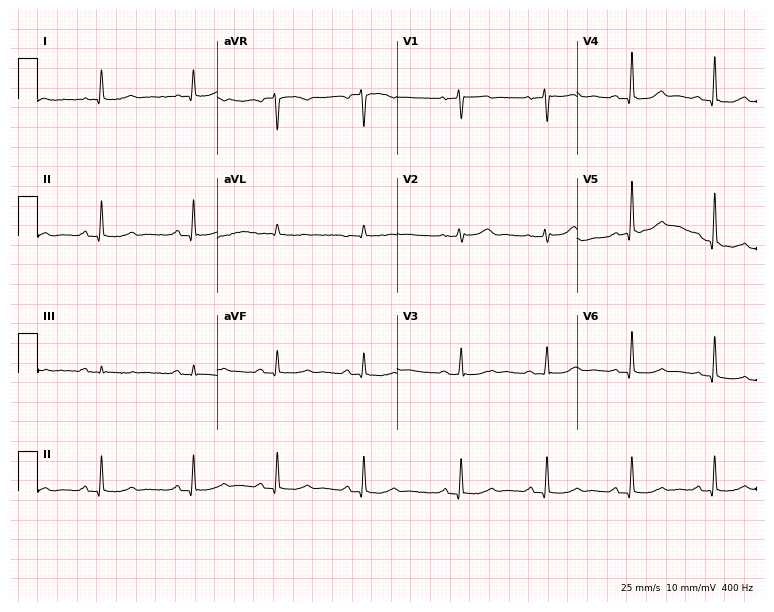
Standard 12-lead ECG recorded from a female patient, 81 years old (7.3-second recording at 400 Hz). None of these six findings is recorded: first-degree AV block, right bundle branch block (RBBB), left bundle branch block (LBBB), sinus bradycardia, atrial fibrillation (AF), sinus tachycardia.